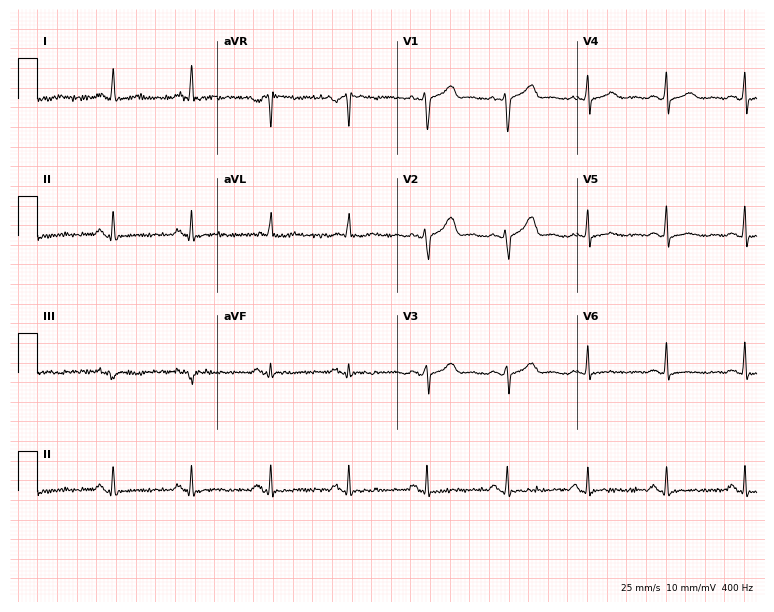
ECG (7.3-second recording at 400 Hz) — a female, 52 years old. Screened for six findings — first-degree AV block, right bundle branch block, left bundle branch block, sinus bradycardia, atrial fibrillation, sinus tachycardia — none is recorded. Other findings, if any, are not listed.